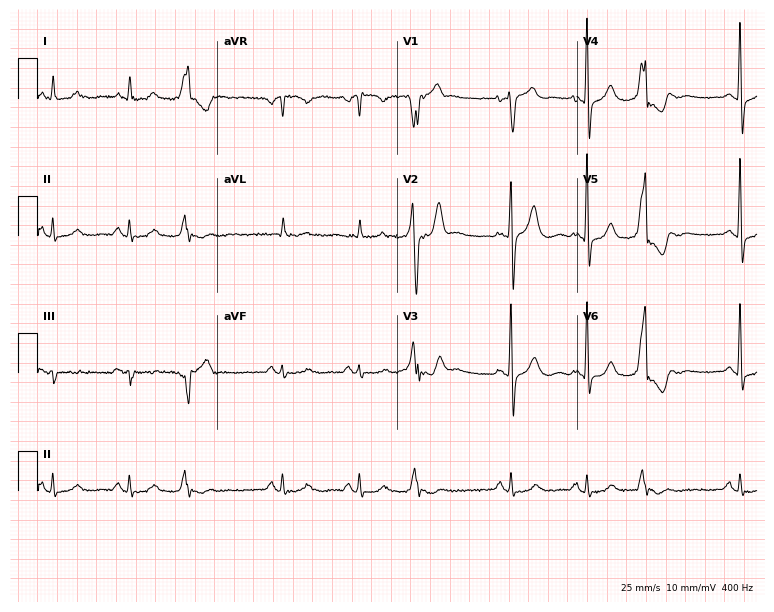
12-lead ECG from a male patient, 65 years old. No first-degree AV block, right bundle branch block, left bundle branch block, sinus bradycardia, atrial fibrillation or sinus tachycardia recorded for this tracing. Only these six findings were labelled.